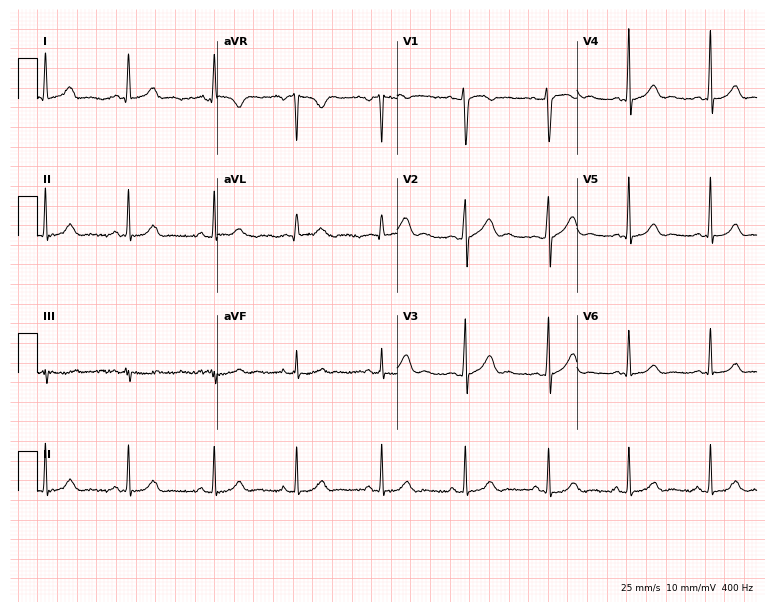
12-lead ECG (7.3-second recording at 400 Hz) from a 35-year-old female patient. Screened for six findings — first-degree AV block, right bundle branch block, left bundle branch block, sinus bradycardia, atrial fibrillation, sinus tachycardia — none is recorded. Other findings, if any, are not listed.